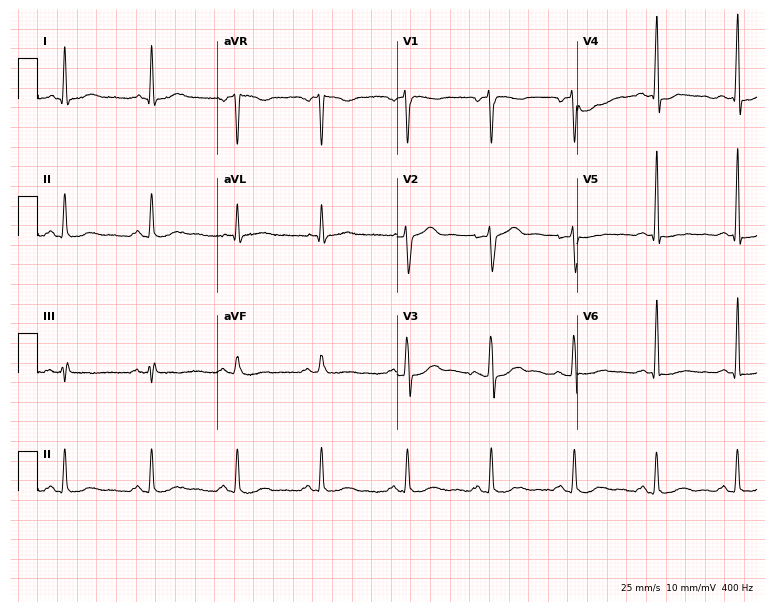
Standard 12-lead ECG recorded from a male, 52 years old. None of these six findings is recorded: first-degree AV block, right bundle branch block, left bundle branch block, sinus bradycardia, atrial fibrillation, sinus tachycardia. Only these six findings were labelled.